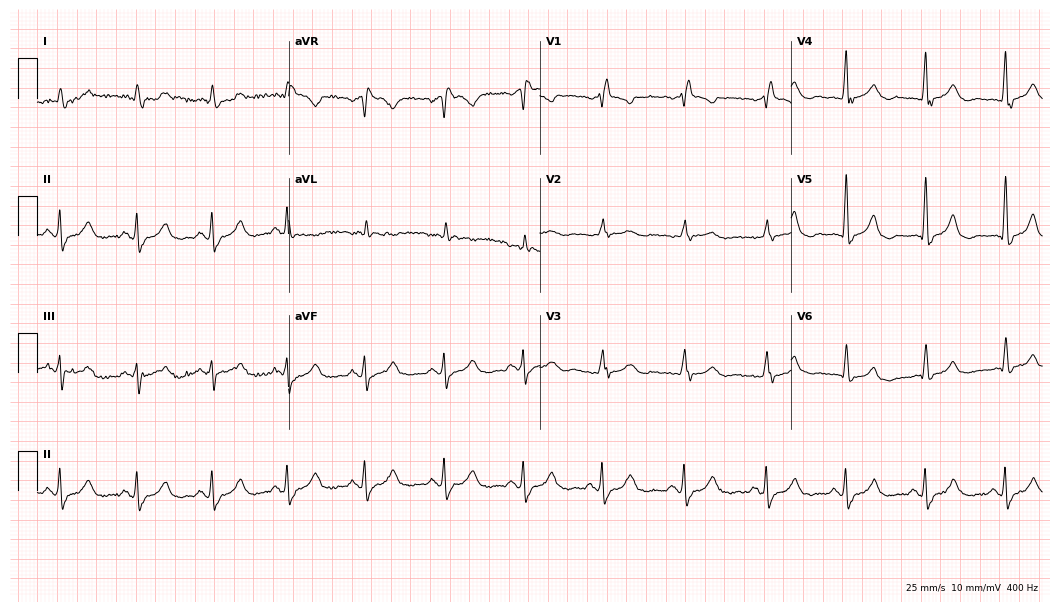
12-lead ECG (10.2-second recording at 400 Hz) from a 71-year-old male patient. Findings include right bundle branch block (RBBB).